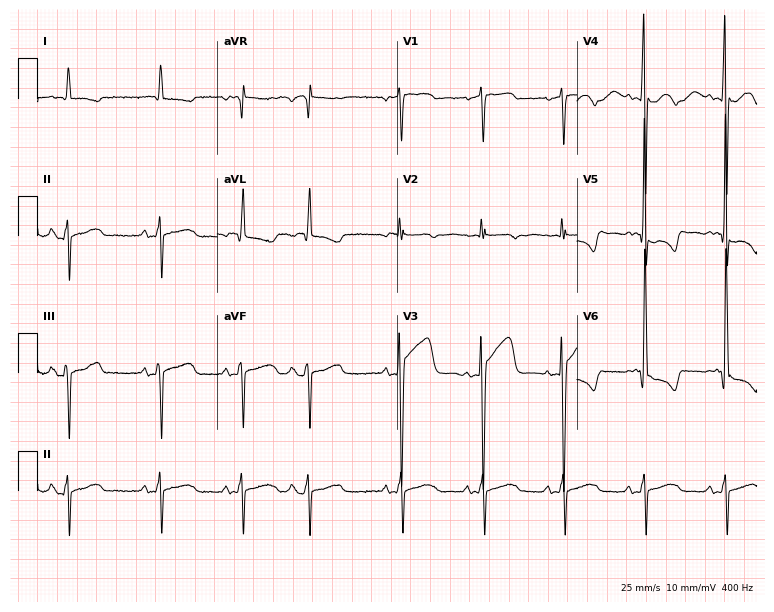
Electrocardiogram, a female patient, 74 years old. Of the six screened findings (first-degree AV block, right bundle branch block (RBBB), left bundle branch block (LBBB), sinus bradycardia, atrial fibrillation (AF), sinus tachycardia), none is recorded.